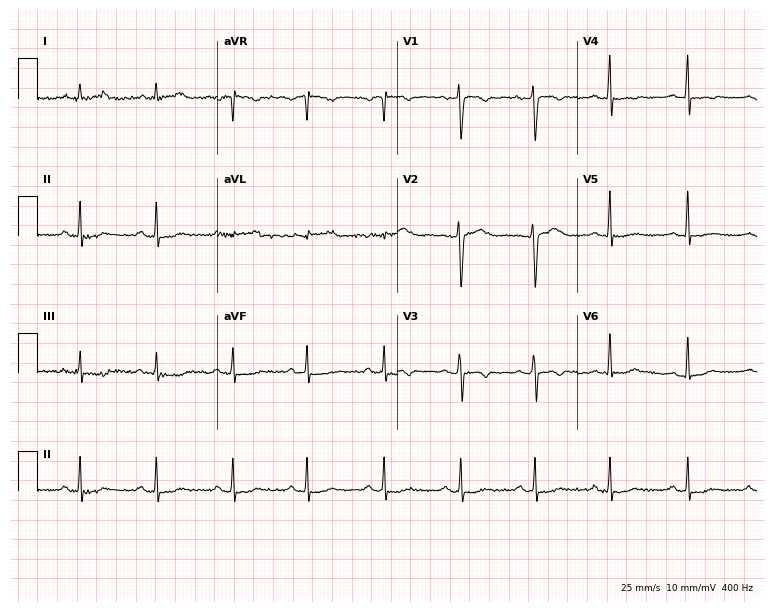
12-lead ECG from a 35-year-old woman. No first-degree AV block, right bundle branch block (RBBB), left bundle branch block (LBBB), sinus bradycardia, atrial fibrillation (AF) or sinus tachycardia recorded for this tracing.